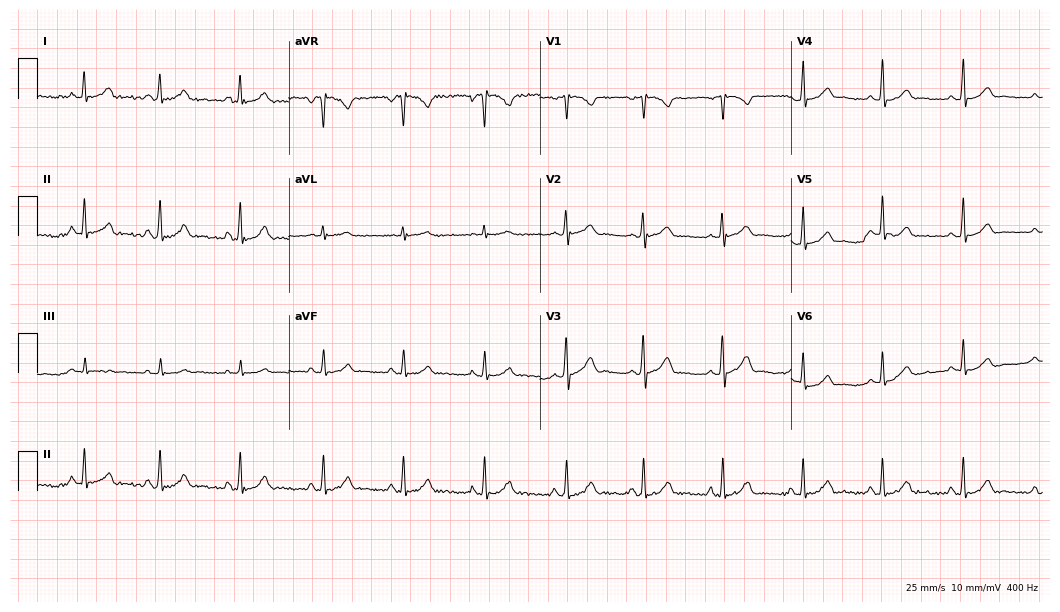
12-lead ECG (10.2-second recording at 400 Hz) from a female patient, 19 years old. Labelled as a normal ECG.